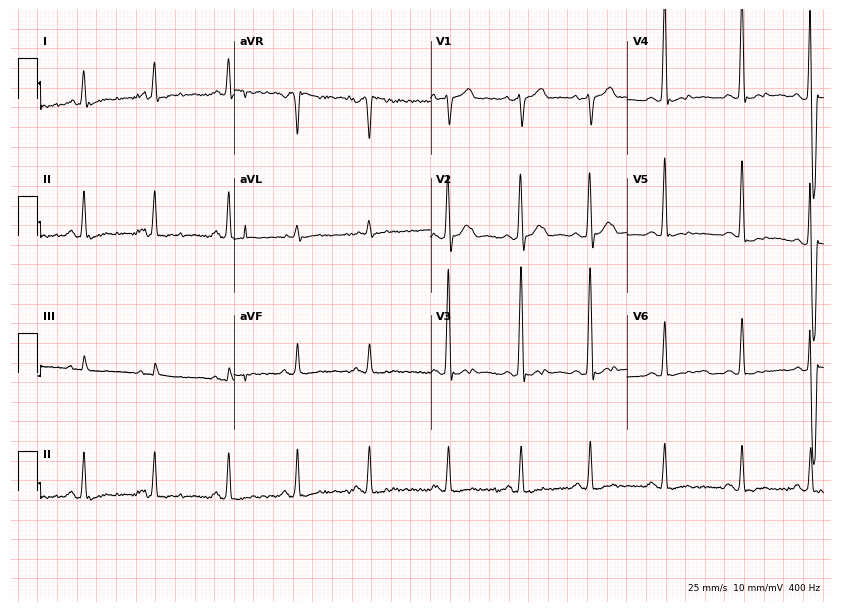
12-lead ECG from a male, 31 years old. No first-degree AV block, right bundle branch block, left bundle branch block, sinus bradycardia, atrial fibrillation or sinus tachycardia recorded for this tracing.